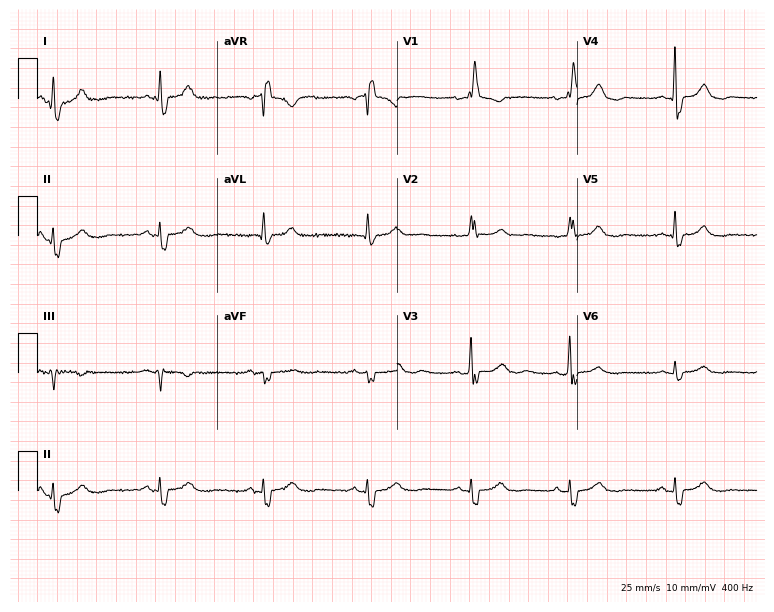
12-lead ECG from a female patient, 84 years old. Findings include right bundle branch block.